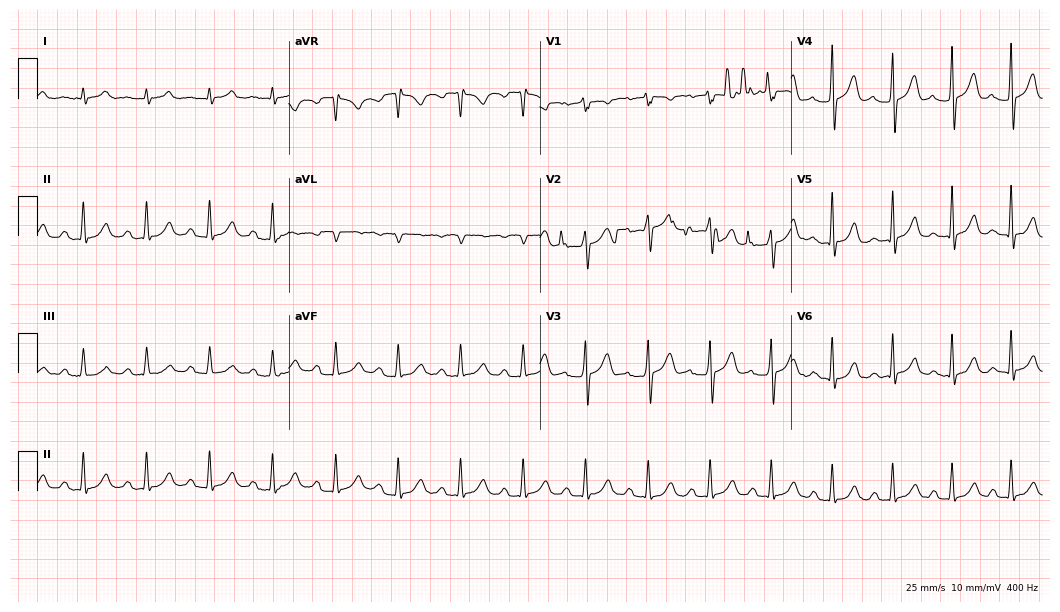
Resting 12-lead electrocardiogram (10.2-second recording at 400 Hz). Patient: a male, 50 years old. Read as a normal ECG.